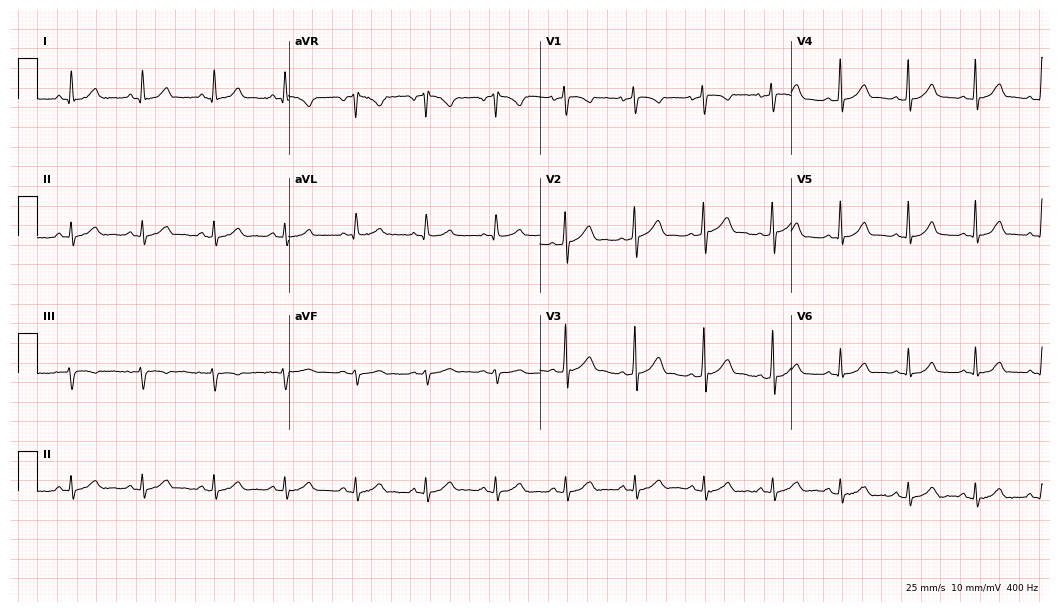
12-lead ECG from a male patient, 50 years old. Labelled as a normal ECG.